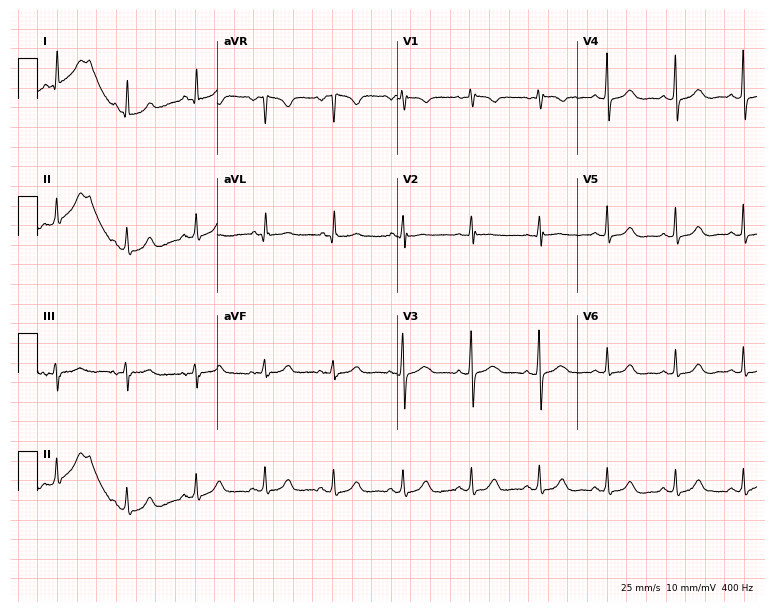
Electrocardiogram, a 46-year-old woman. Overall reading on record: normal ECG.